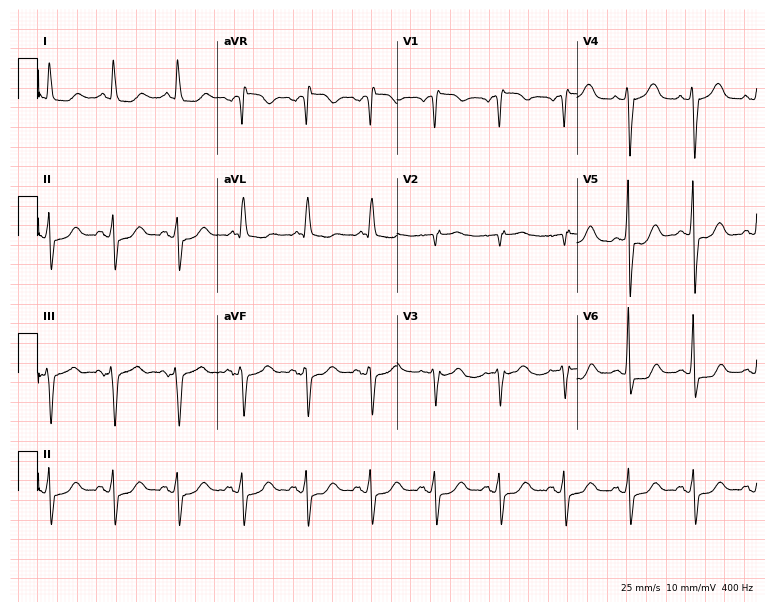
Resting 12-lead electrocardiogram (7.3-second recording at 400 Hz). Patient: a male, 68 years old. None of these six findings is recorded: first-degree AV block, right bundle branch block, left bundle branch block, sinus bradycardia, atrial fibrillation, sinus tachycardia.